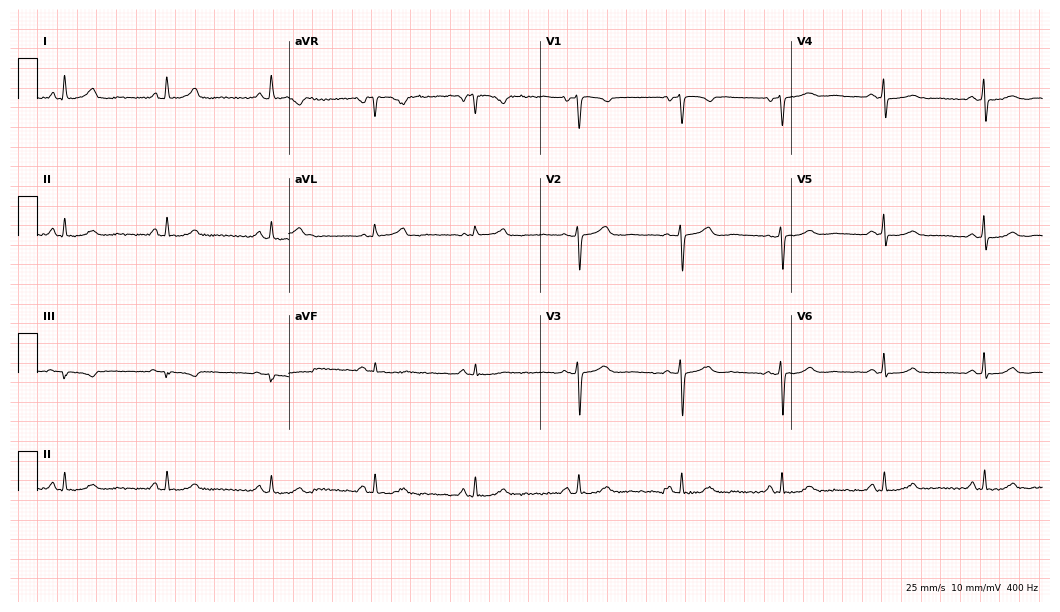
12-lead ECG from a woman, 42 years old (10.2-second recording at 400 Hz). Recorded interpretation: within normal limits.